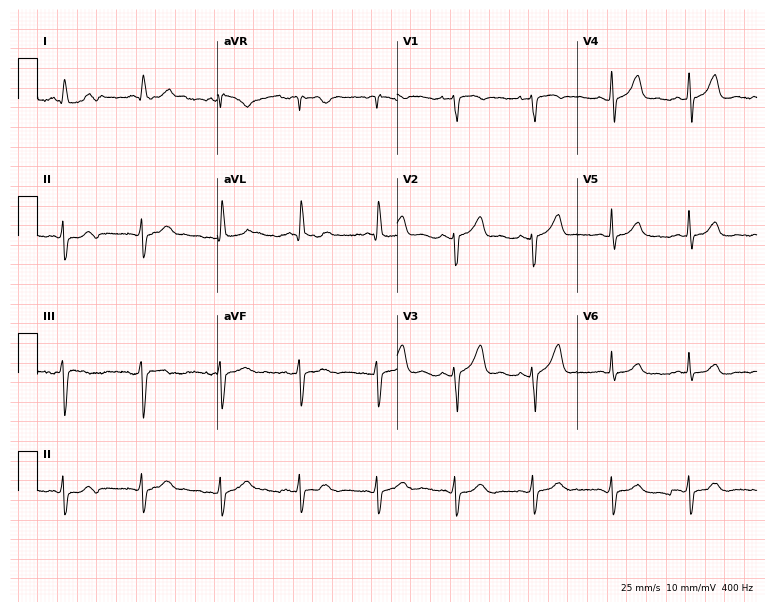
ECG — a female, 79 years old. Screened for six findings — first-degree AV block, right bundle branch block (RBBB), left bundle branch block (LBBB), sinus bradycardia, atrial fibrillation (AF), sinus tachycardia — none is recorded. Only these six findings were labelled.